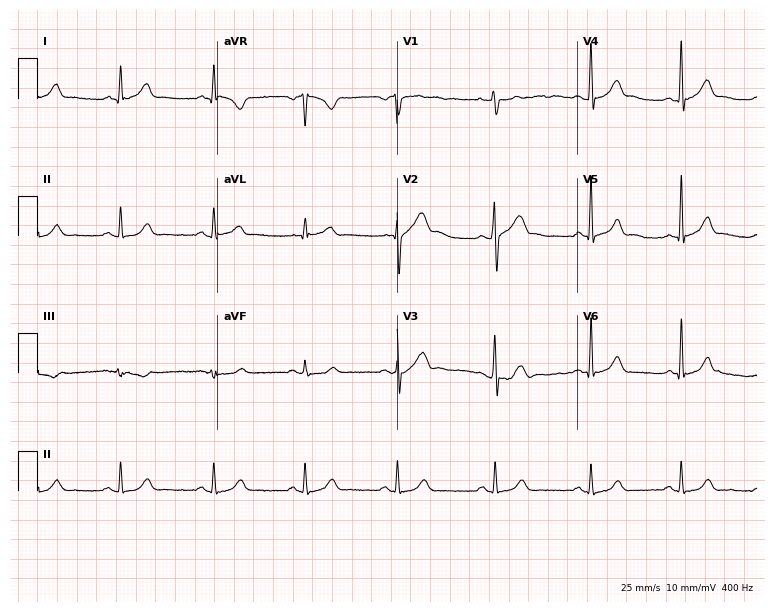
Standard 12-lead ECG recorded from a male, 41 years old. Read as a normal ECG.